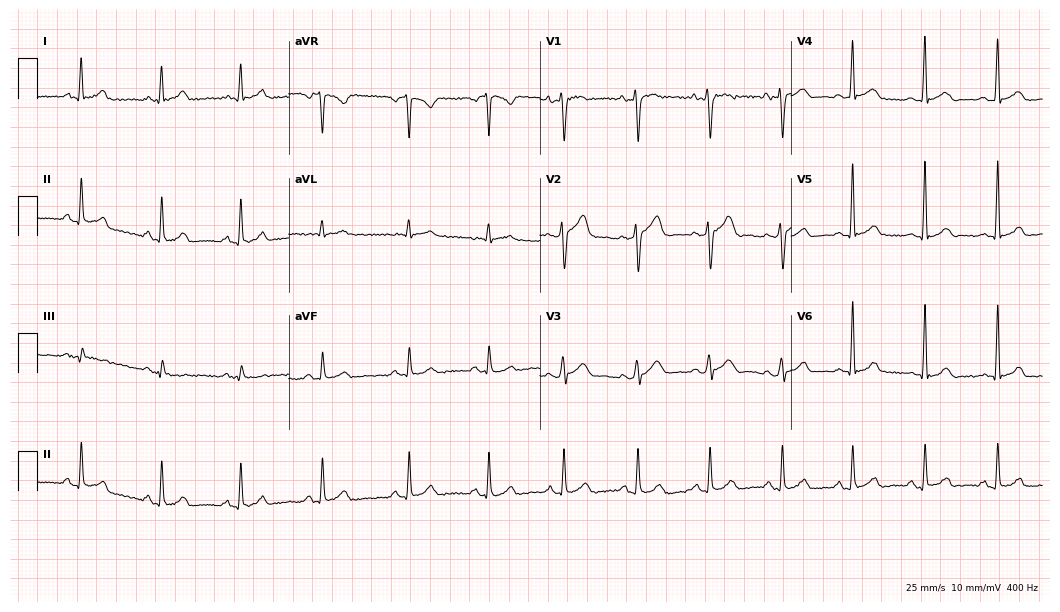
Standard 12-lead ECG recorded from a 29-year-old male. Read as a normal ECG.